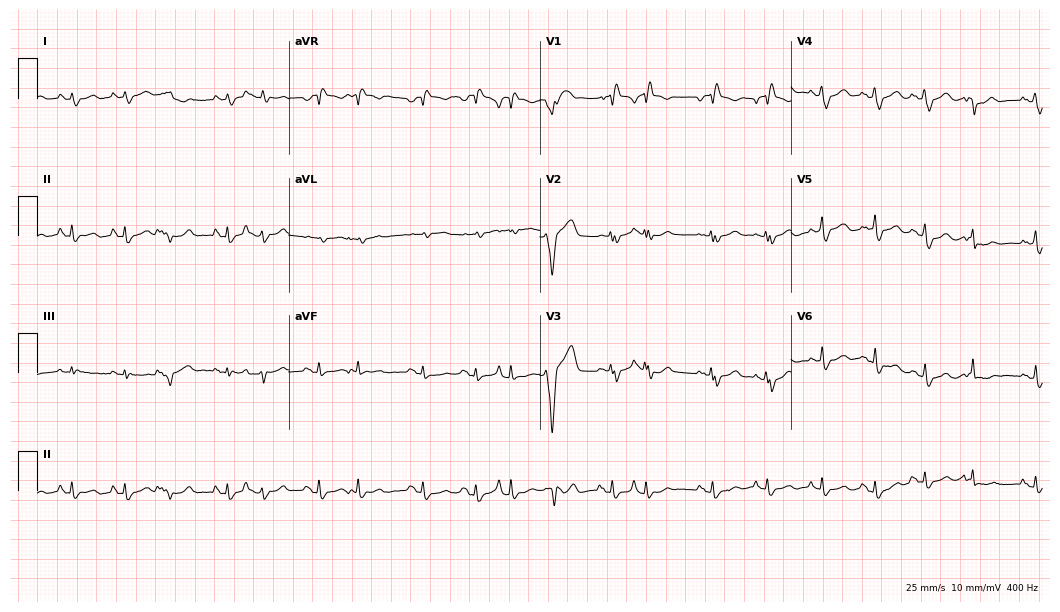
Standard 12-lead ECG recorded from an 81-year-old male patient. The tracing shows right bundle branch block (RBBB), sinus tachycardia (a sinus rate of 100 beats per minute or more).